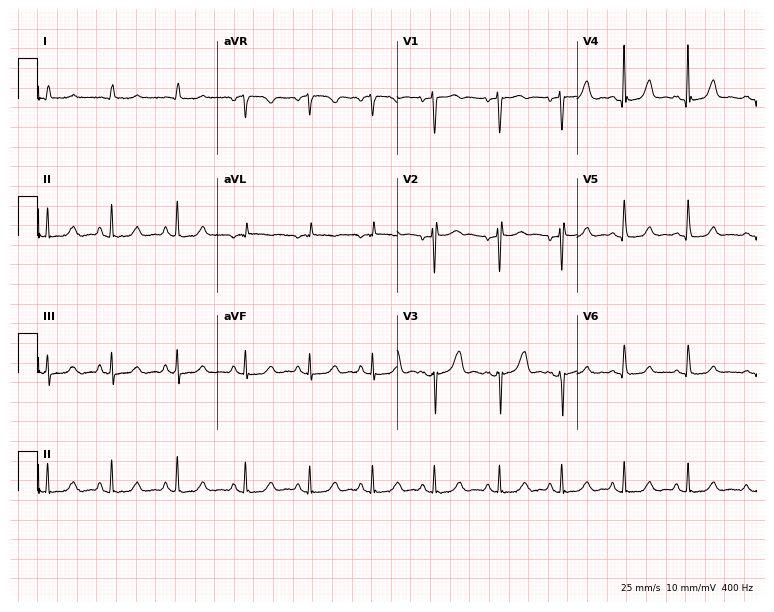
Resting 12-lead electrocardiogram. Patient: a 66-year-old female. None of these six findings is recorded: first-degree AV block, right bundle branch block, left bundle branch block, sinus bradycardia, atrial fibrillation, sinus tachycardia. Only these six findings were labelled.